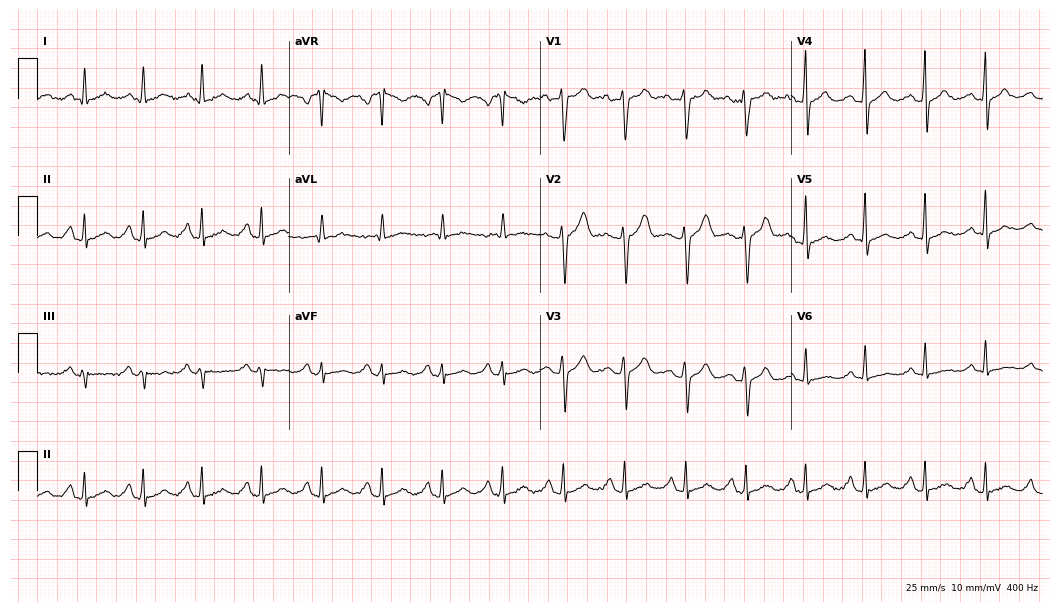
12-lead ECG from a woman, 49 years old. Screened for six findings — first-degree AV block, right bundle branch block (RBBB), left bundle branch block (LBBB), sinus bradycardia, atrial fibrillation (AF), sinus tachycardia — none is recorded. Findings outside these six are not listed.